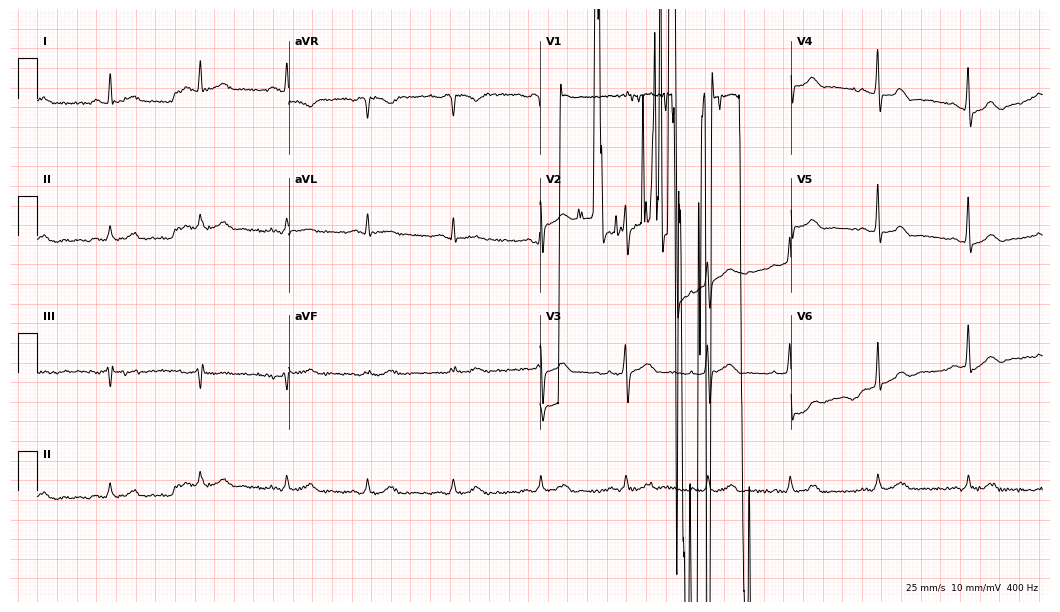
12-lead ECG from a man, 60 years old (10.2-second recording at 400 Hz). No first-degree AV block, right bundle branch block (RBBB), left bundle branch block (LBBB), sinus bradycardia, atrial fibrillation (AF) or sinus tachycardia recorded for this tracing.